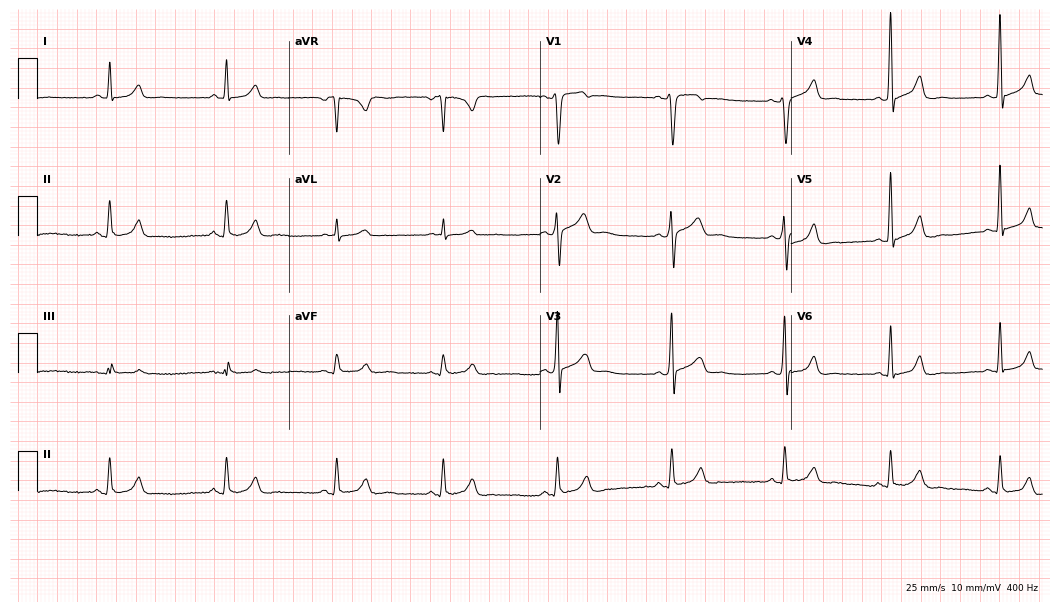
12-lead ECG from a 37-year-old male. Labelled as a normal ECG.